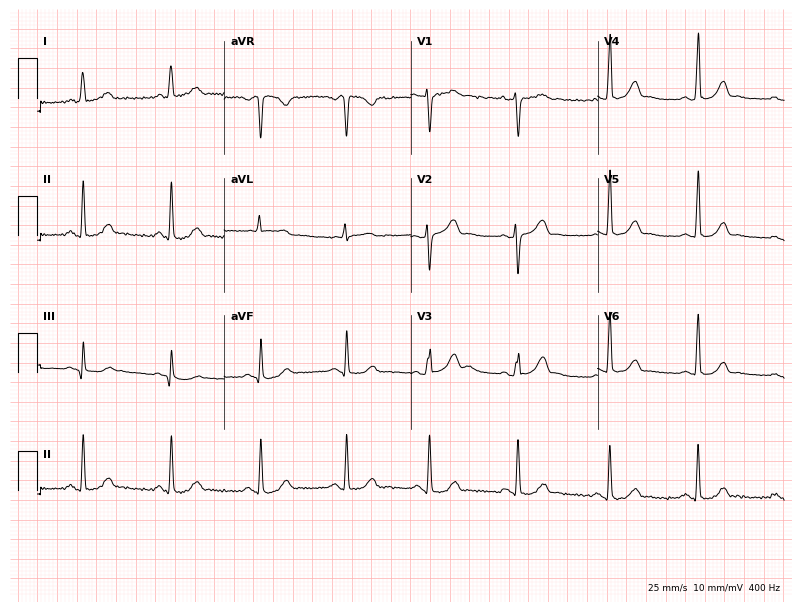
Electrocardiogram (7.6-second recording at 400 Hz), a woman, 46 years old. Overall reading on record: normal ECG.